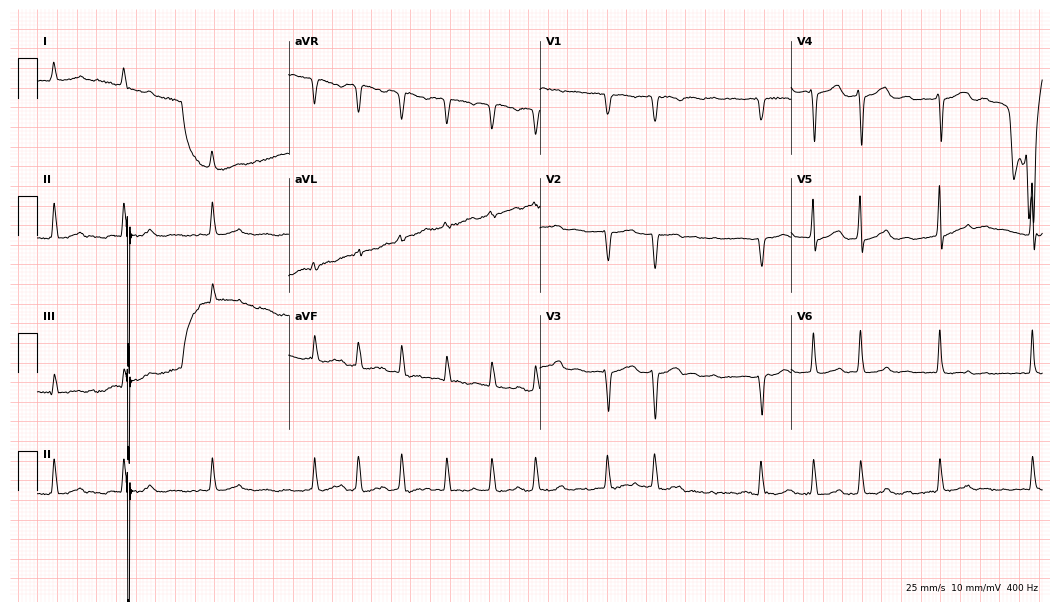
Standard 12-lead ECG recorded from a female patient, 73 years old. None of these six findings is recorded: first-degree AV block, right bundle branch block, left bundle branch block, sinus bradycardia, atrial fibrillation, sinus tachycardia. Other findings, if any, are not listed.